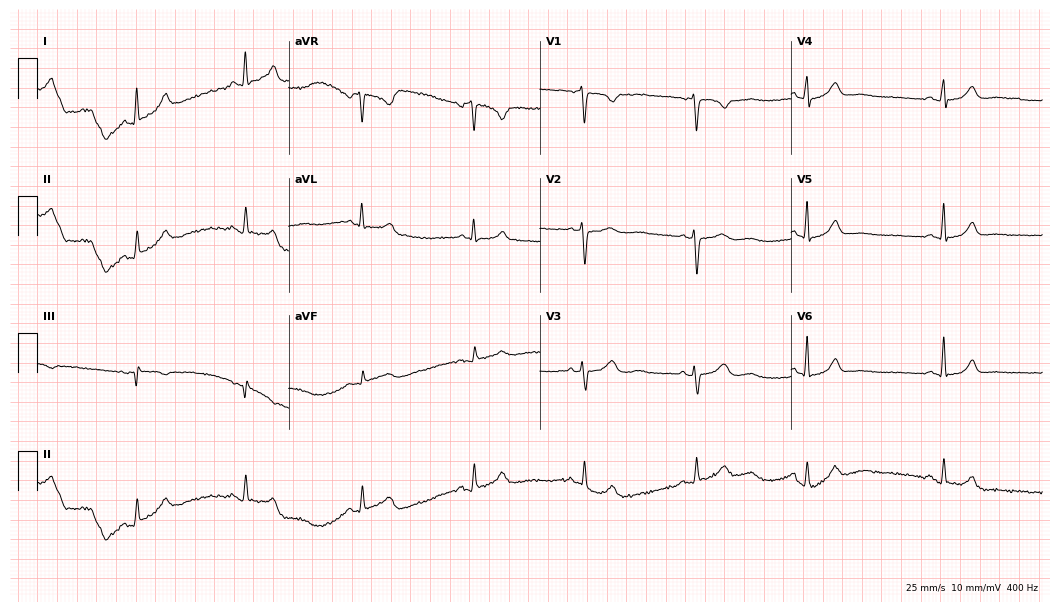
12-lead ECG from a woman, 45 years old. Recorded interpretation: within normal limits.